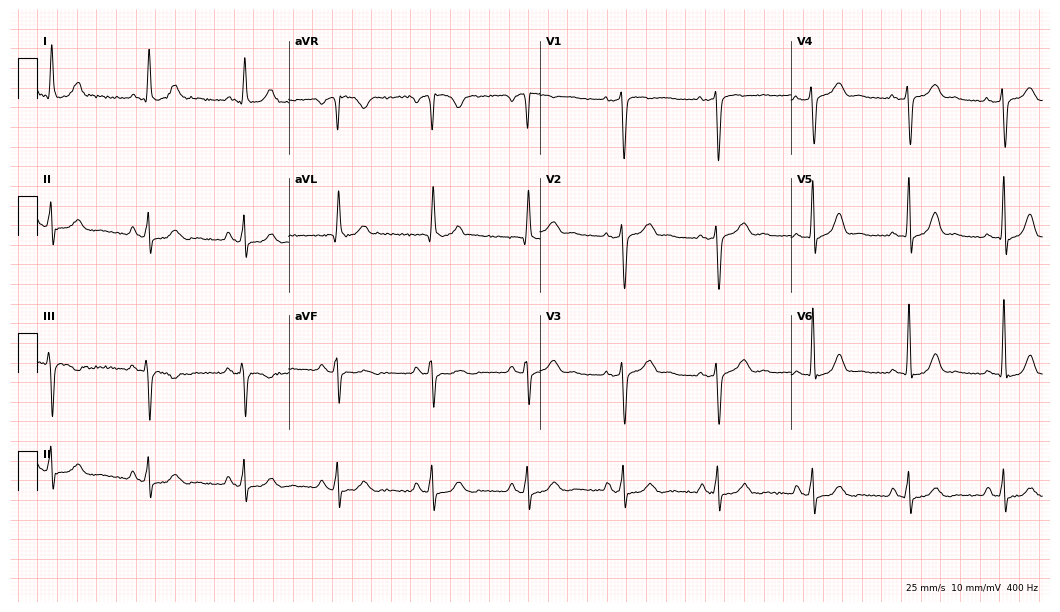
12-lead ECG from a male, 55 years old (10.2-second recording at 400 Hz). Recorded interpretation: within normal limits.